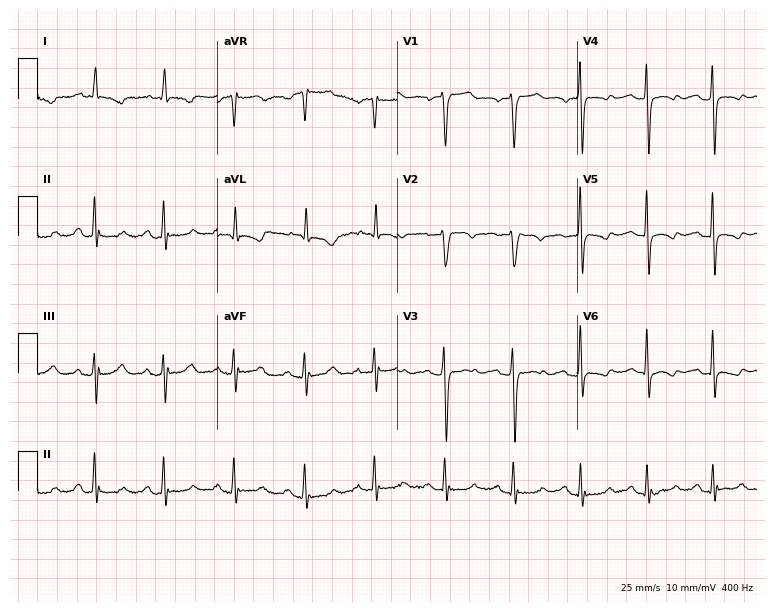
Standard 12-lead ECG recorded from a 62-year-old female (7.3-second recording at 400 Hz). None of these six findings is recorded: first-degree AV block, right bundle branch block, left bundle branch block, sinus bradycardia, atrial fibrillation, sinus tachycardia.